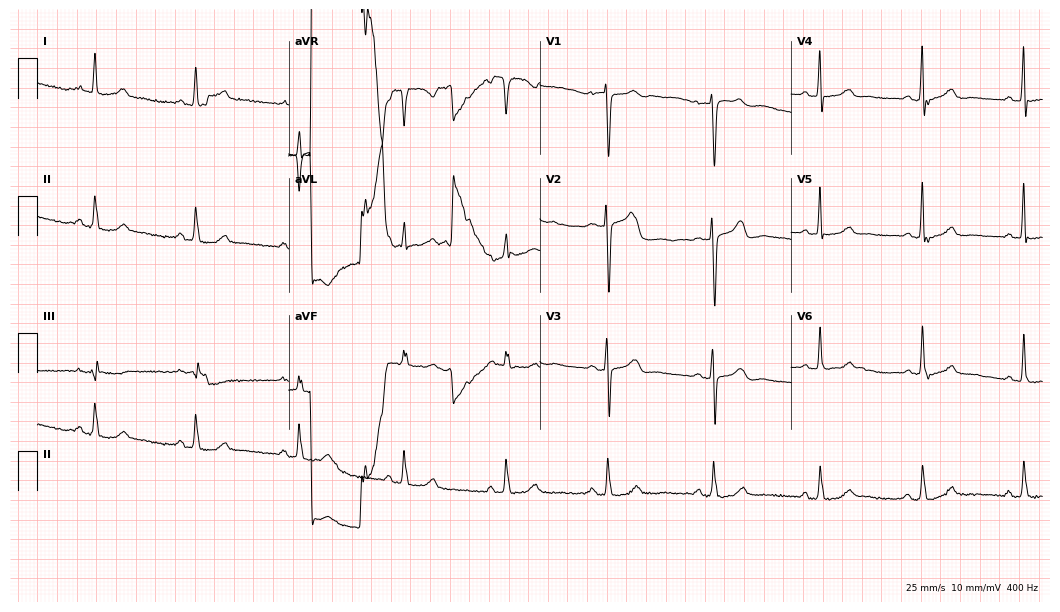
Resting 12-lead electrocardiogram. Patient: a female, 61 years old. Read as a normal ECG.